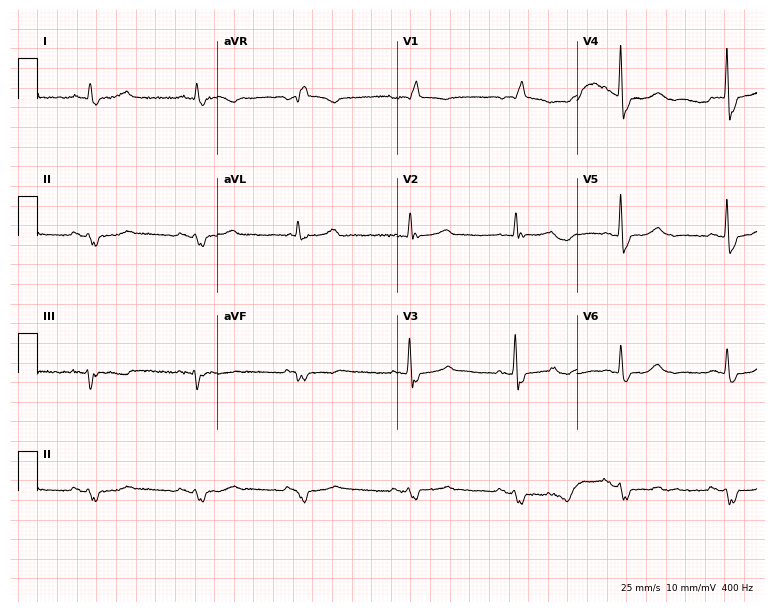
Resting 12-lead electrocardiogram (7.3-second recording at 400 Hz). Patient: a man, 79 years old. The tracing shows right bundle branch block.